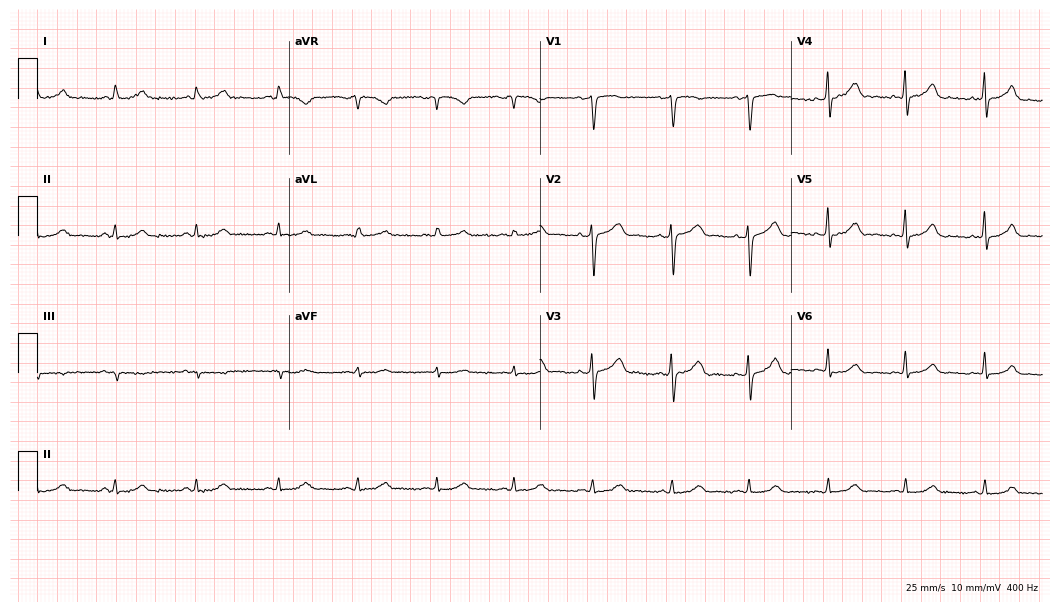
Standard 12-lead ECG recorded from a 52-year-old female patient. Read as a normal ECG.